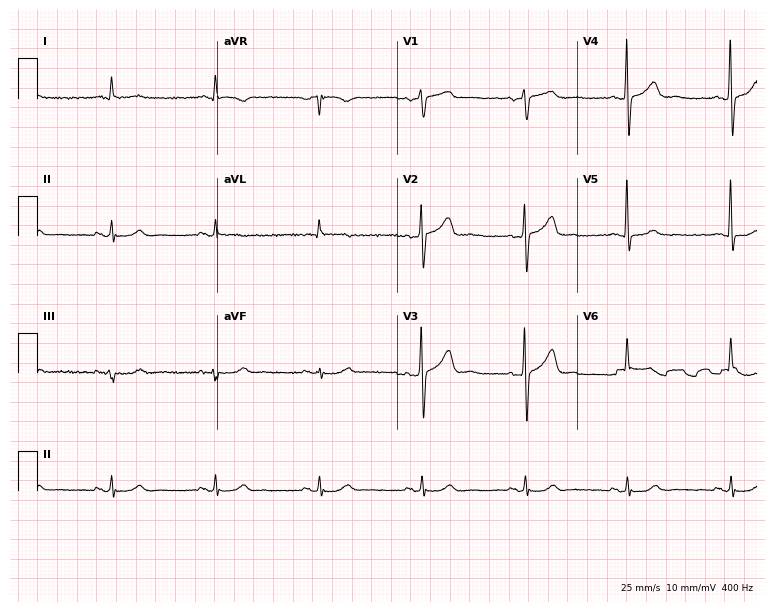
12-lead ECG (7.3-second recording at 400 Hz) from a male patient, 63 years old. Labelled as a normal ECG.